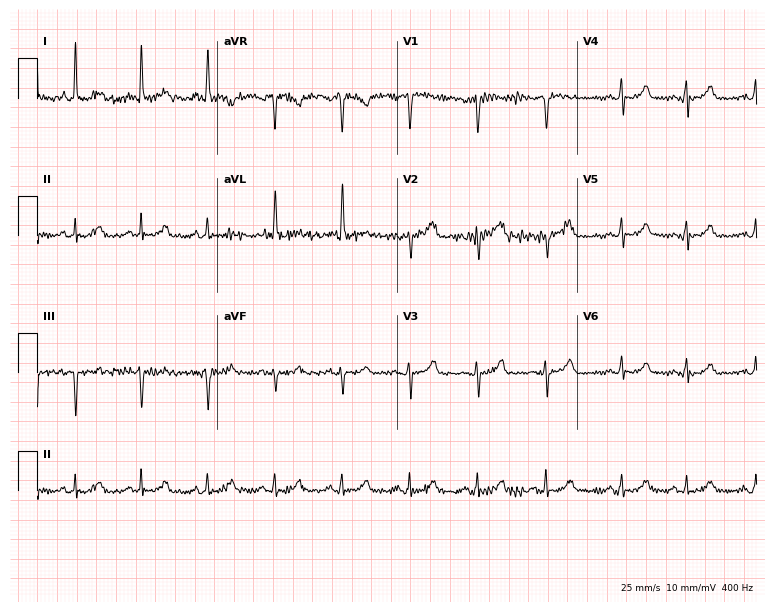
Resting 12-lead electrocardiogram. Patient: a woman, 60 years old. Read as a normal ECG.